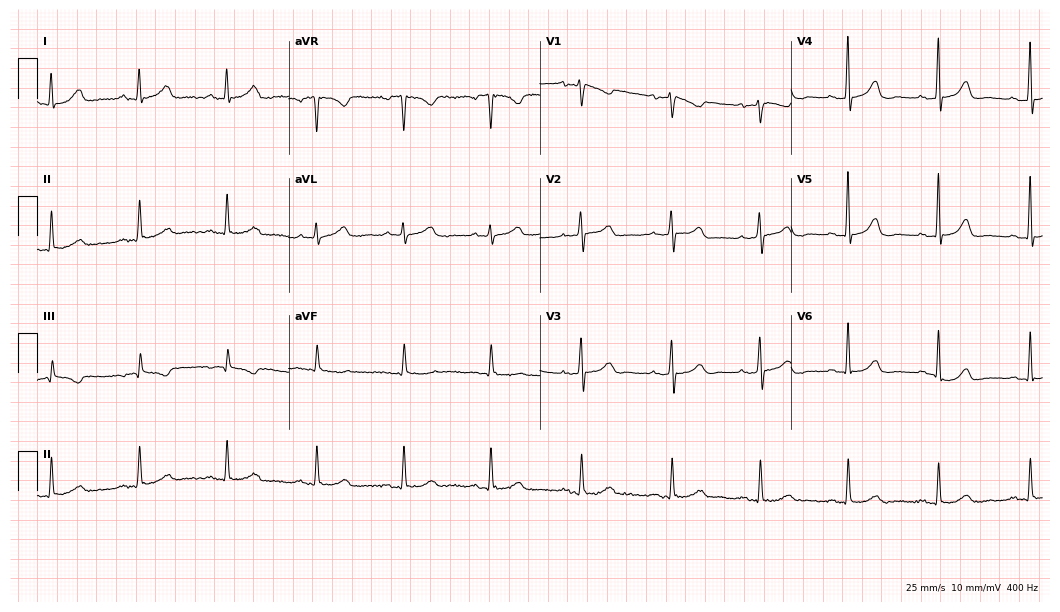
Resting 12-lead electrocardiogram. Patient: a 76-year-old female. Read as a normal ECG.